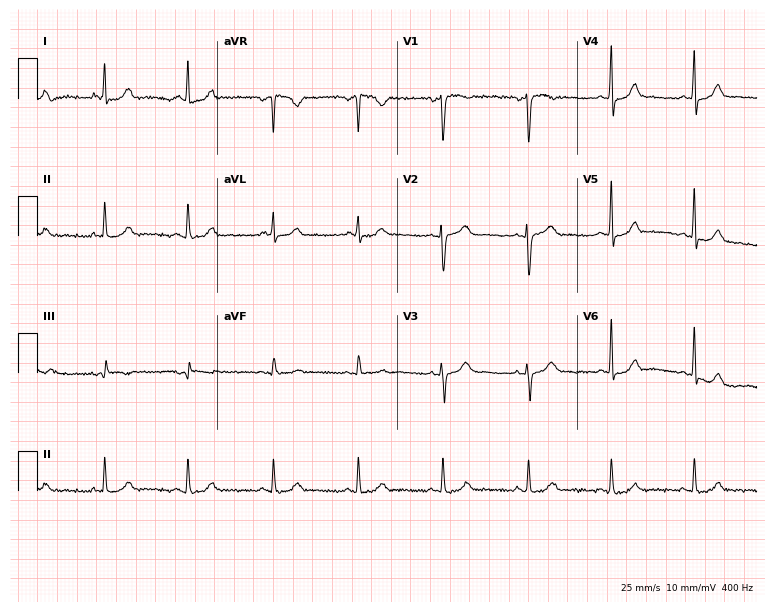
Resting 12-lead electrocardiogram. Patient: a woman, 38 years old. Read as a normal ECG.